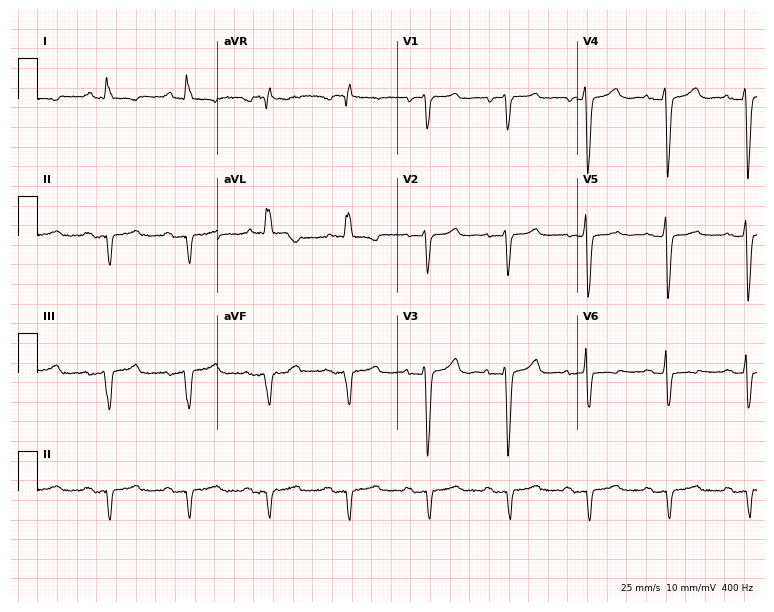
Electrocardiogram, a female, 68 years old. Of the six screened findings (first-degree AV block, right bundle branch block, left bundle branch block, sinus bradycardia, atrial fibrillation, sinus tachycardia), none is recorded. Only these six findings were labelled.